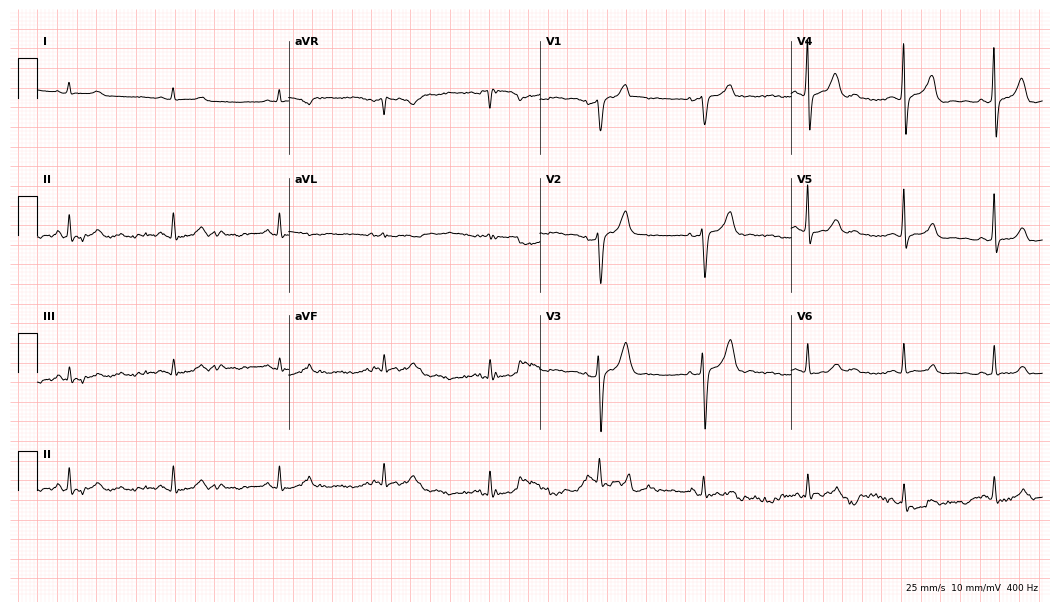
Standard 12-lead ECG recorded from a man, 65 years old (10.2-second recording at 400 Hz). Read as a normal ECG.